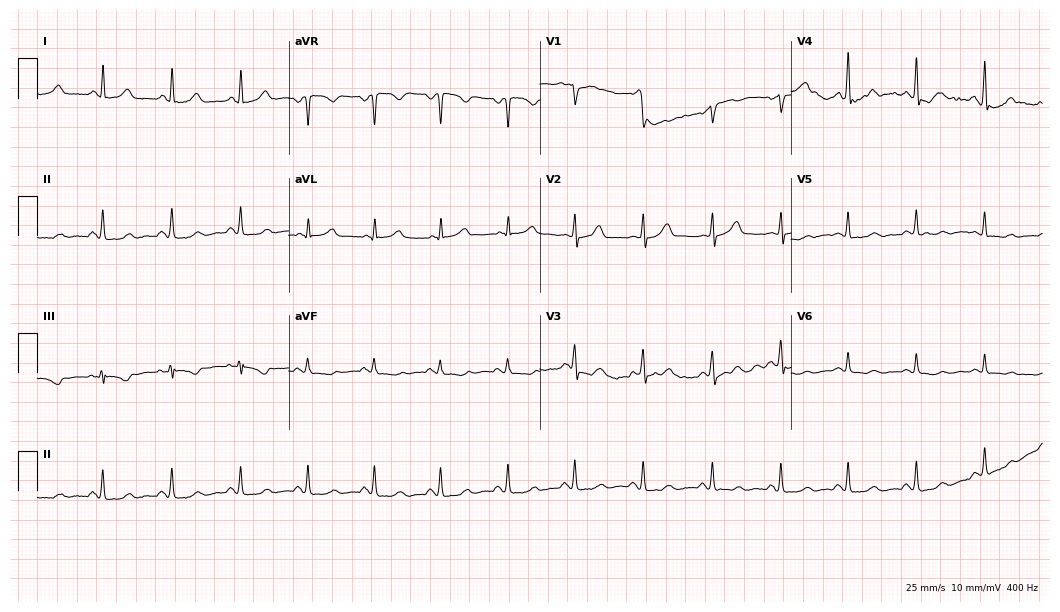
Electrocardiogram, a female patient, 39 years old. Overall reading on record: normal ECG.